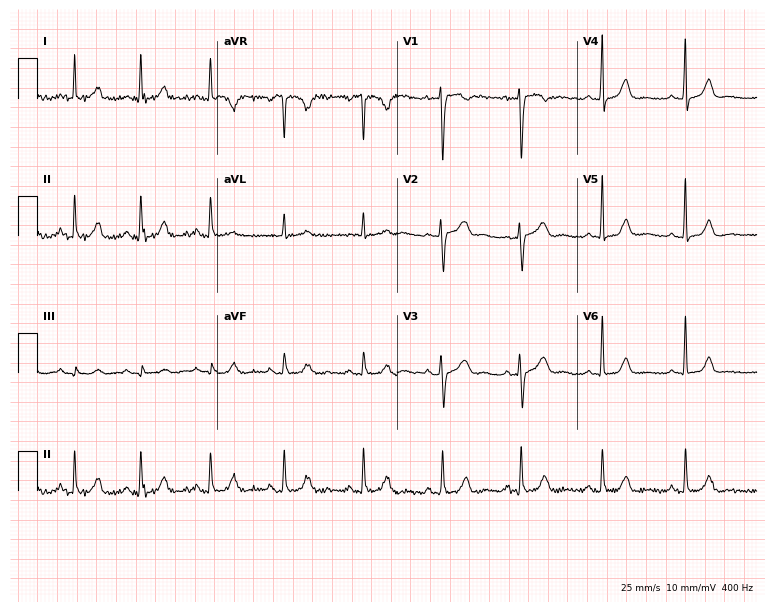
Standard 12-lead ECG recorded from a 31-year-old female. Read as a normal ECG.